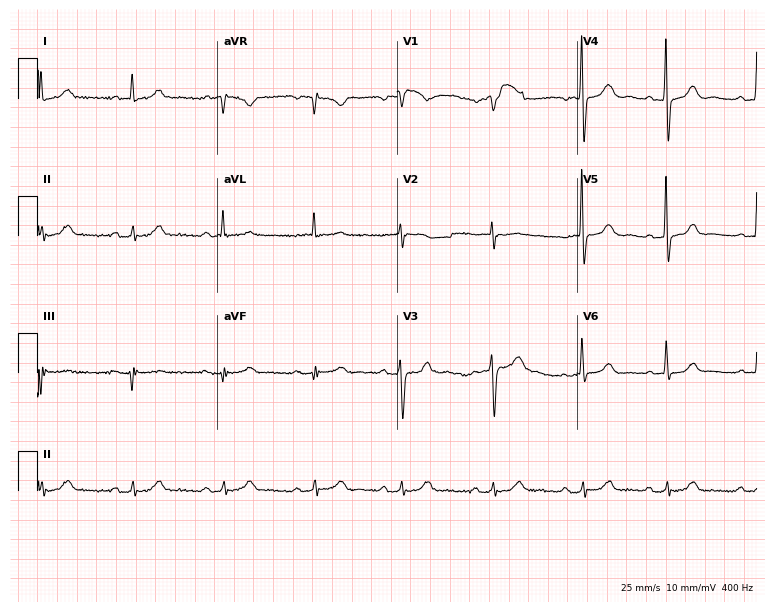
Electrocardiogram (7.3-second recording at 400 Hz), a 77-year-old male patient. Overall reading on record: normal ECG.